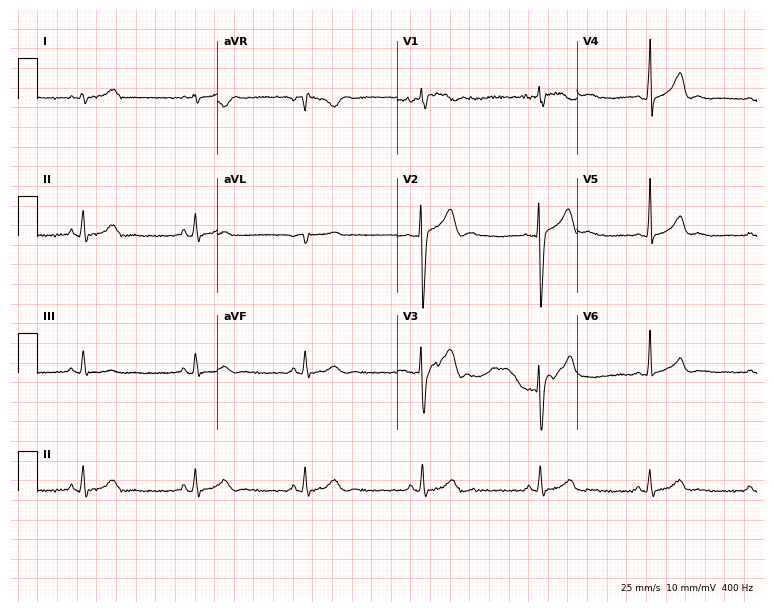
Resting 12-lead electrocardiogram (7.3-second recording at 400 Hz). Patient: a man, 23 years old. Read as a normal ECG.